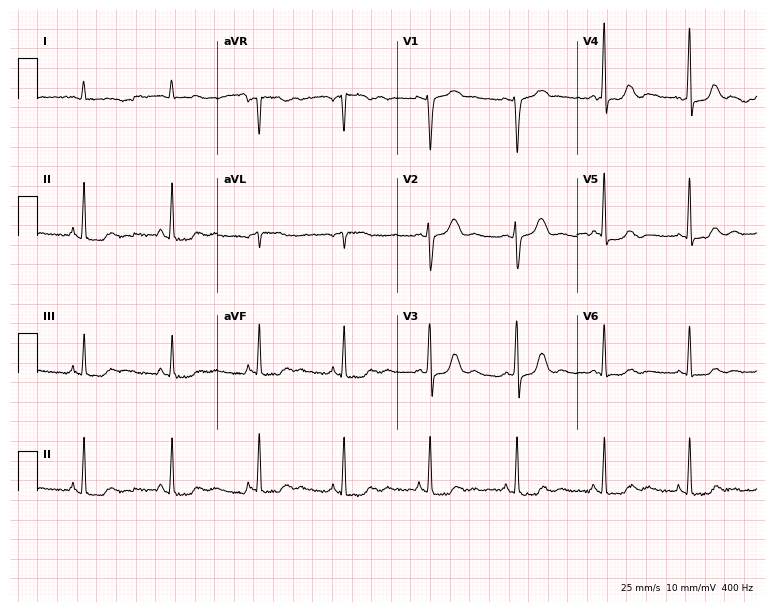
Resting 12-lead electrocardiogram (7.3-second recording at 400 Hz). Patient: a female, 44 years old. None of these six findings is recorded: first-degree AV block, right bundle branch block, left bundle branch block, sinus bradycardia, atrial fibrillation, sinus tachycardia.